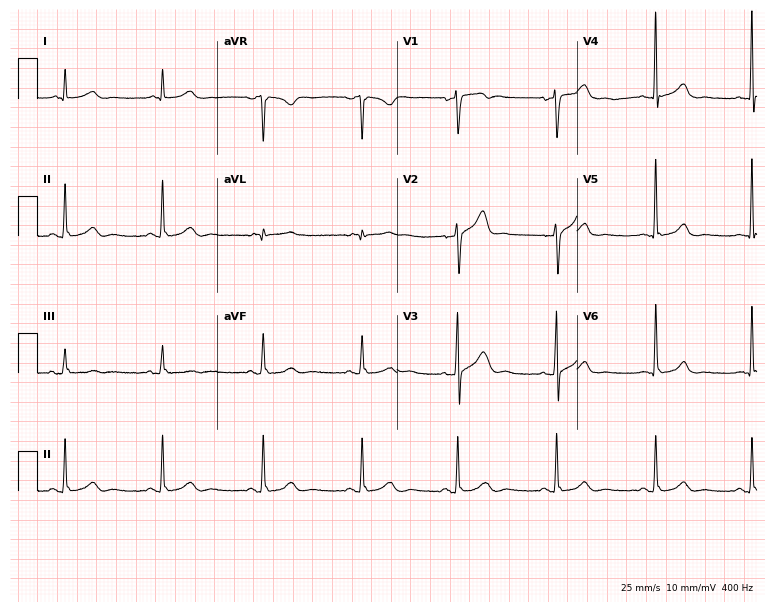
Electrocardiogram (7.3-second recording at 400 Hz), a 45-year-old male patient. Overall reading on record: normal ECG.